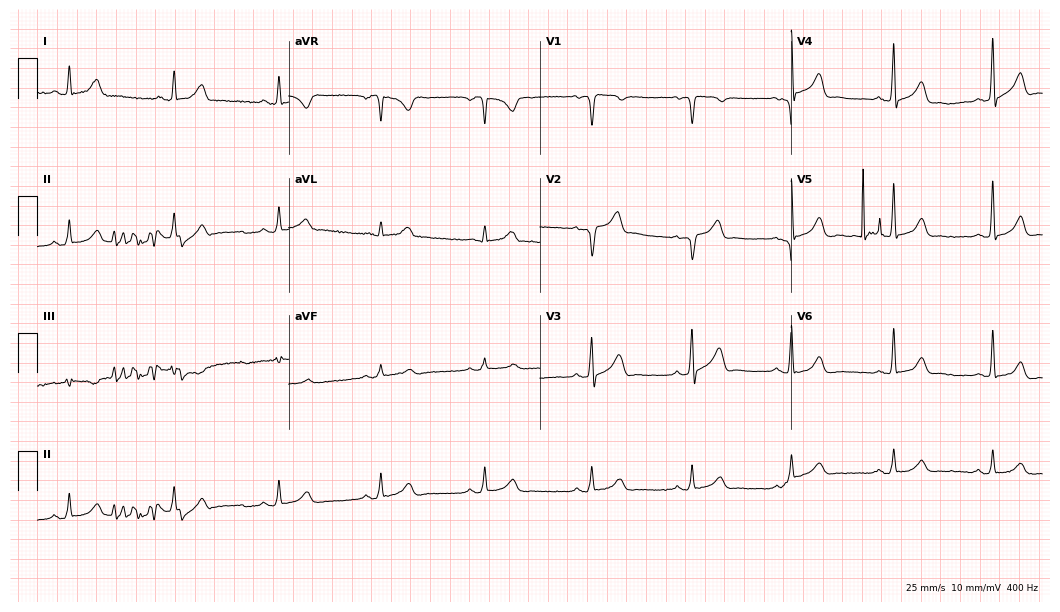
ECG — a man, 46 years old. Screened for six findings — first-degree AV block, right bundle branch block, left bundle branch block, sinus bradycardia, atrial fibrillation, sinus tachycardia — none is recorded. Only these six findings were labelled.